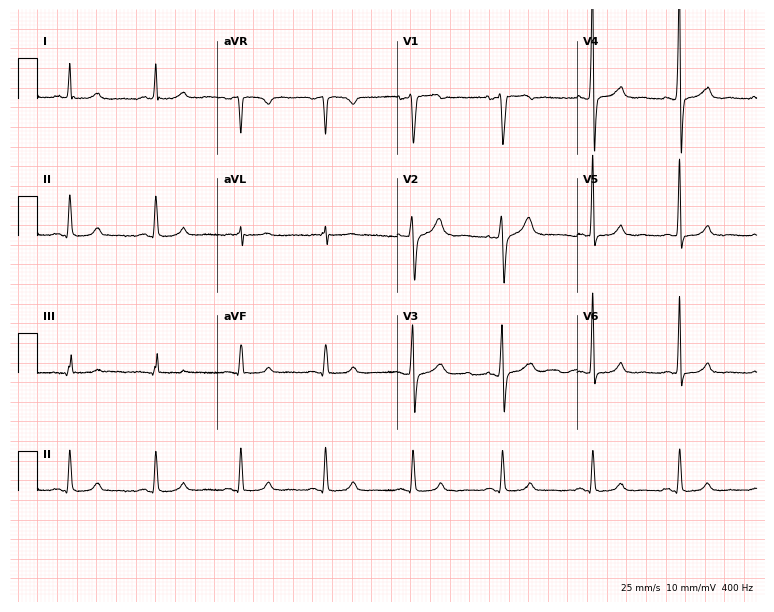
ECG — a 32-year-old male patient. Screened for six findings — first-degree AV block, right bundle branch block, left bundle branch block, sinus bradycardia, atrial fibrillation, sinus tachycardia — none is recorded. Other findings, if any, are not listed.